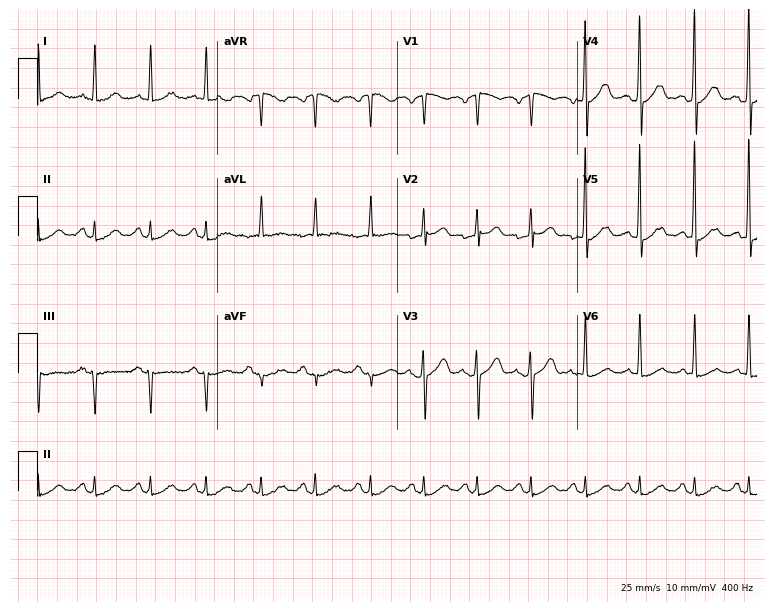
Resting 12-lead electrocardiogram. Patient: a man, 68 years old. The tracing shows sinus tachycardia (a sinus rate of 100 beats per minute or more).